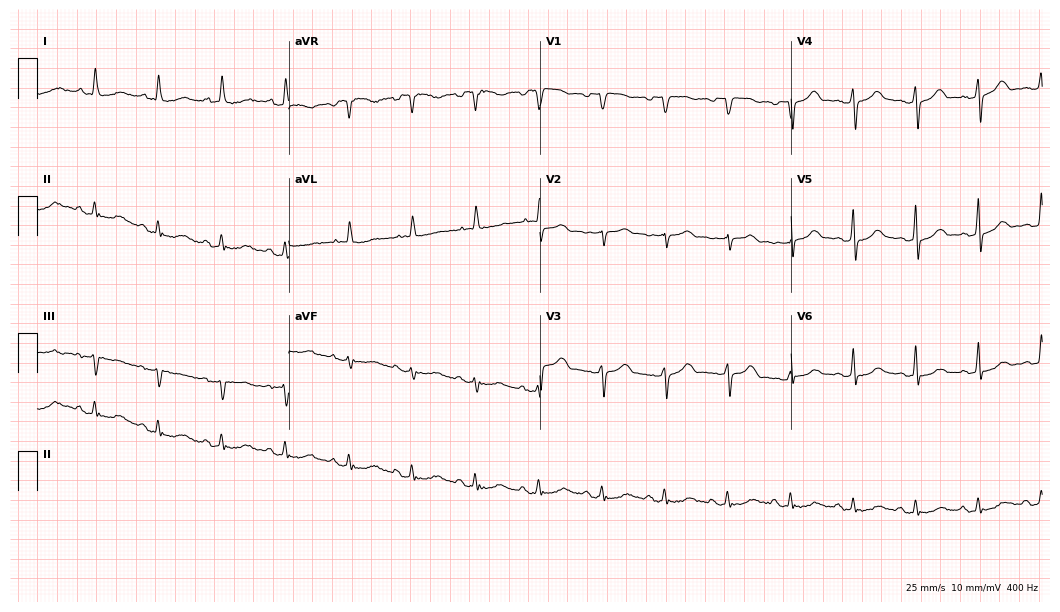
ECG (10.2-second recording at 400 Hz) — a 65-year-old female. Screened for six findings — first-degree AV block, right bundle branch block, left bundle branch block, sinus bradycardia, atrial fibrillation, sinus tachycardia — none is recorded. Other findings, if any, are not listed.